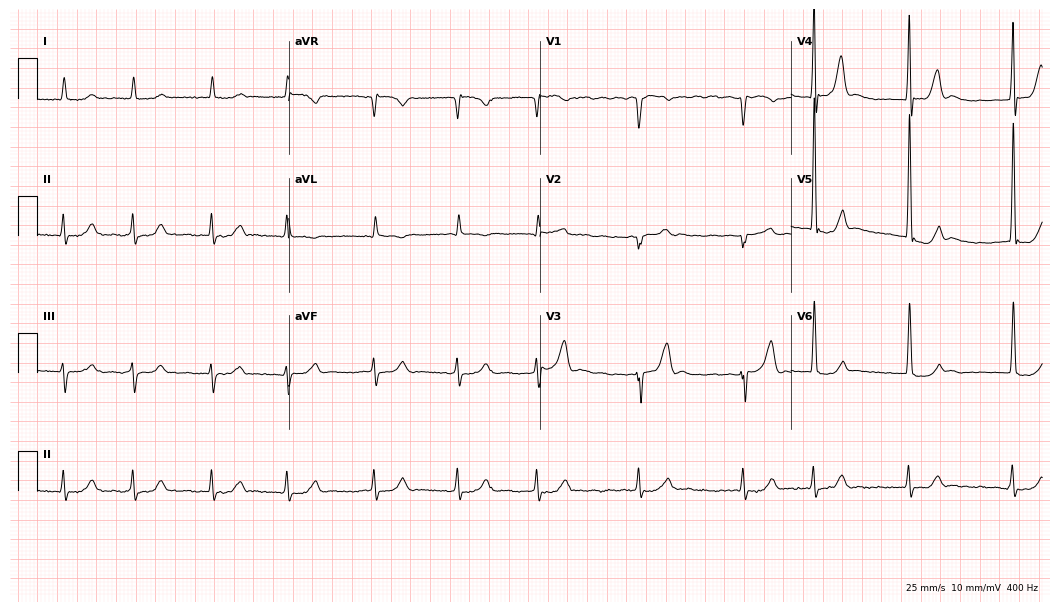
ECG — a 76-year-old man. Findings include atrial fibrillation (AF).